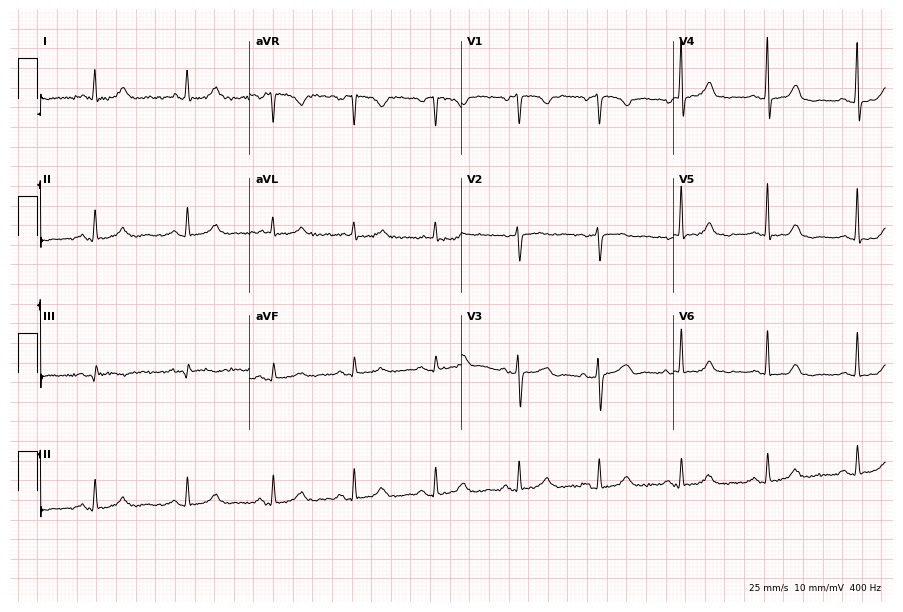
Electrocardiogram (8.6-second recording at 400 Hz), a woman, 49 years old. Of the six screened findings (first-degree AV block, right bundle branch block, left bundle branch block, sinus bradycardia, atrial fibrillation, sinus tachycardia), none is recorded.